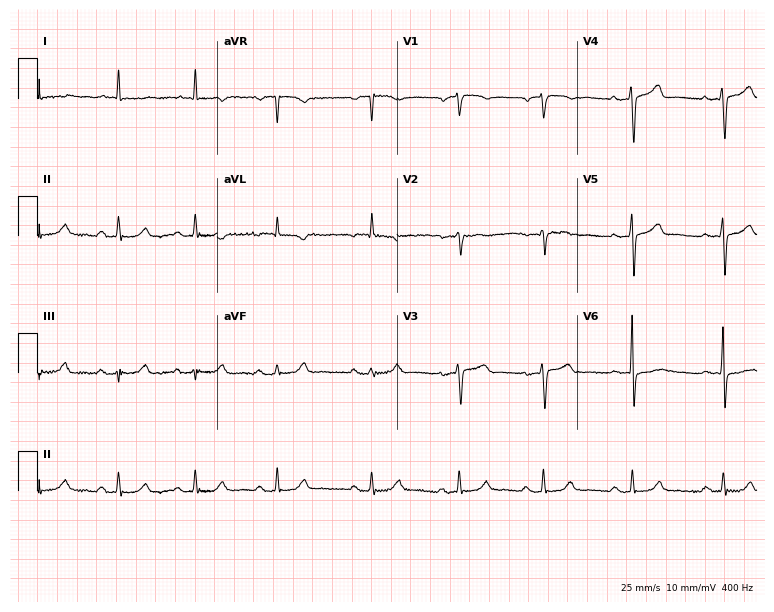
Electrocardiogram, an 83-year-old woman. Of the six screened findings (first-degree AV block, right bundle branch block, left bundle branch block, sinus bradycardia, atrial fibrillation, sinus tachycardia), none is recorded. Other findings, if any, are not listed.